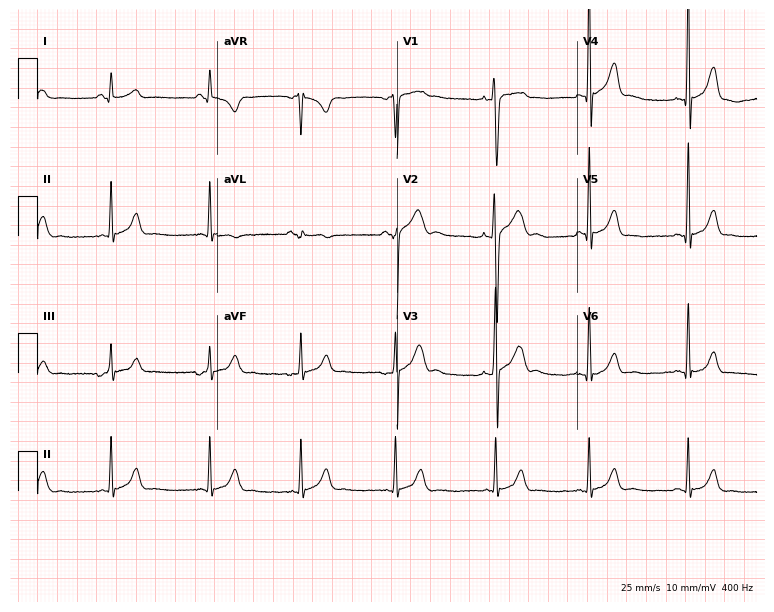
12-lead ECG from a male, 17 years old. Recorded interpretation: within normal limits.